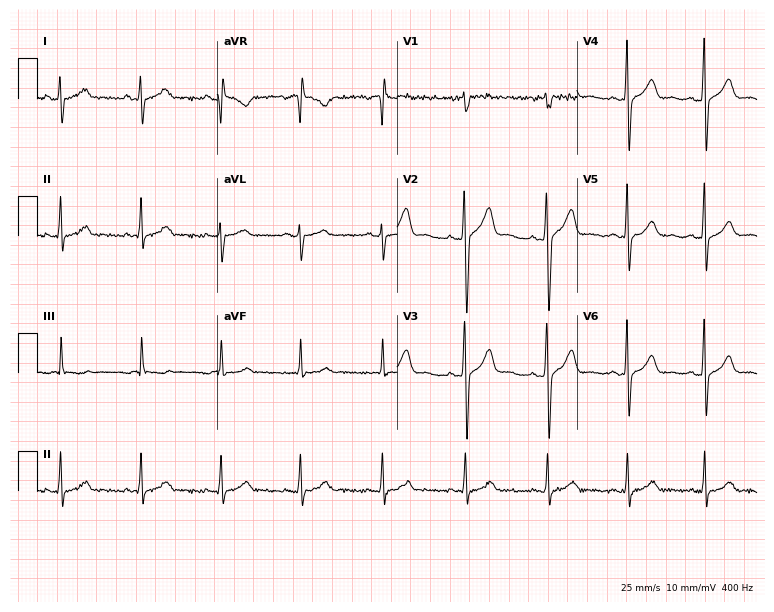
12-lead ECG from a 38-year-old male patient (7.3-second recording at 400 Hz). No first-degree AV block, right bundle branch block, left bundle branch block, sinus bradycardia, atrial fibrillation or sinus tachycardia recorded for this tracing. Findings outside these six are not listed.